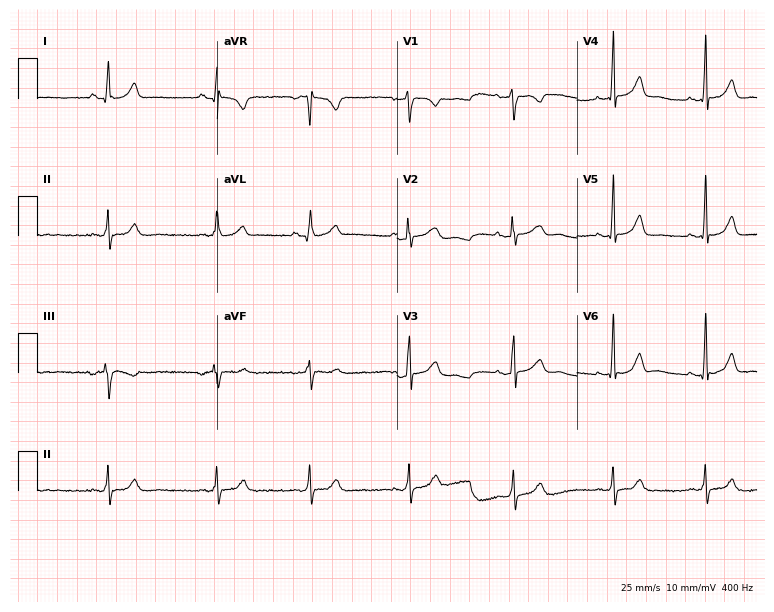
12-lead ECG from a woman, 30 years old. Screened for six findings — first-degree AV block, right bundle branch block, left bundle branch block, sinus bradycardia, atrial fibrillation, sinus tachycardia — none is recorded.